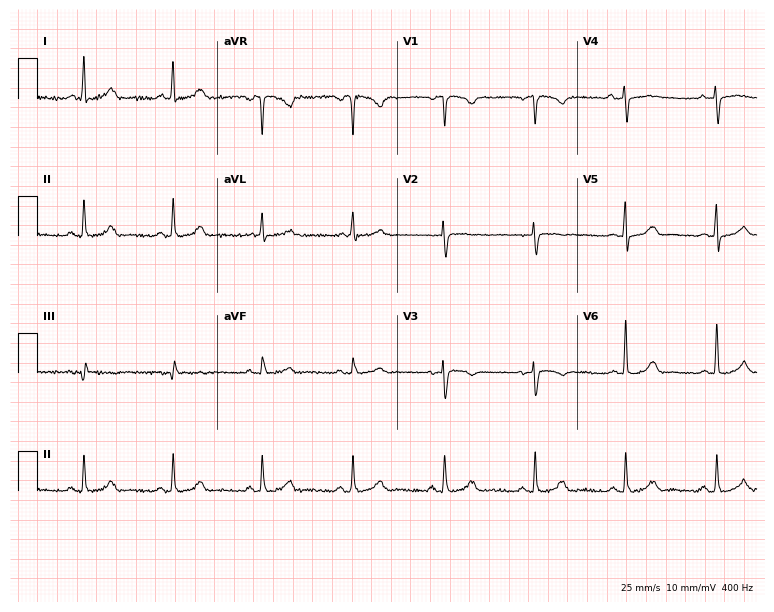
ECG (7.3-second recording at 400 Hz) — a female patient, 69 years old. Labelled as a normal ECG.